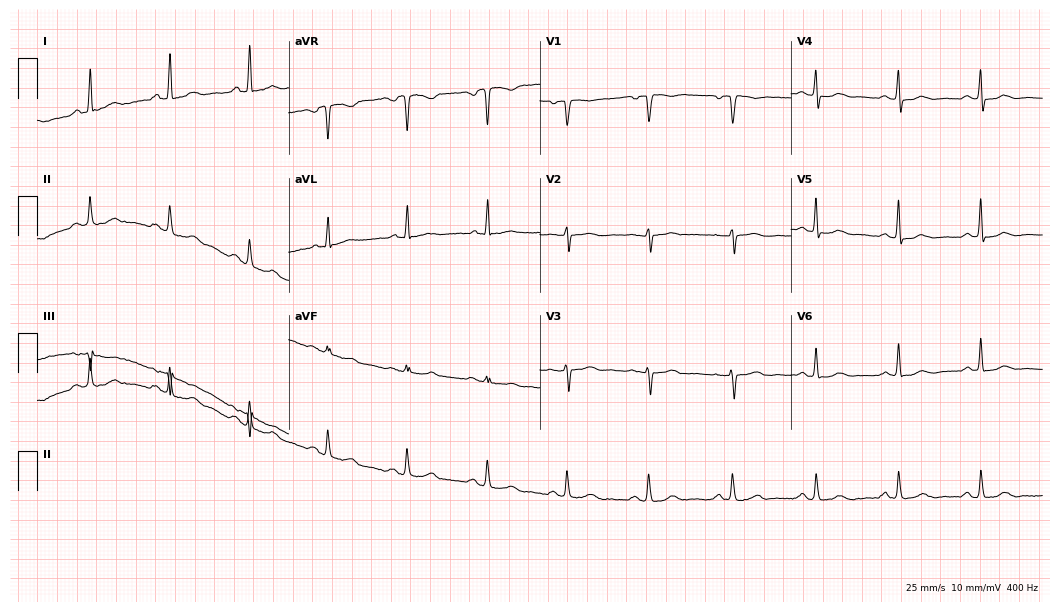
Resting 12-lead electrocardiogram (10.2-second recording at 400 Hz). Patient: a 57-year-old female. None of these six findings is recorded: first-degree AV block, right bundle branch block (RBBB), left bundle branch block (LBBB), sinus bradycardia, atrial fibrillation (AF), sinus tachycardia.